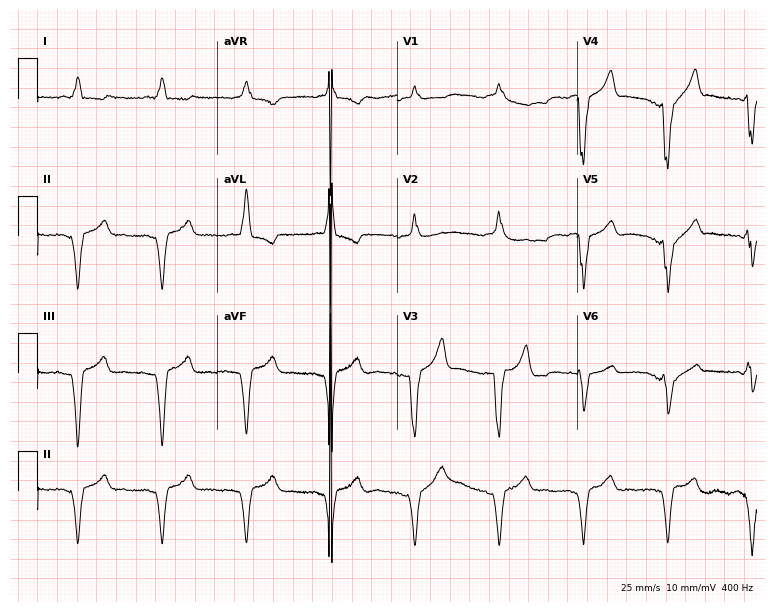
Standard 12-lead ECG recorded from a male, 83 years old (7.3-second recording at 400 Hz). The tracing shows right bundle branch block.